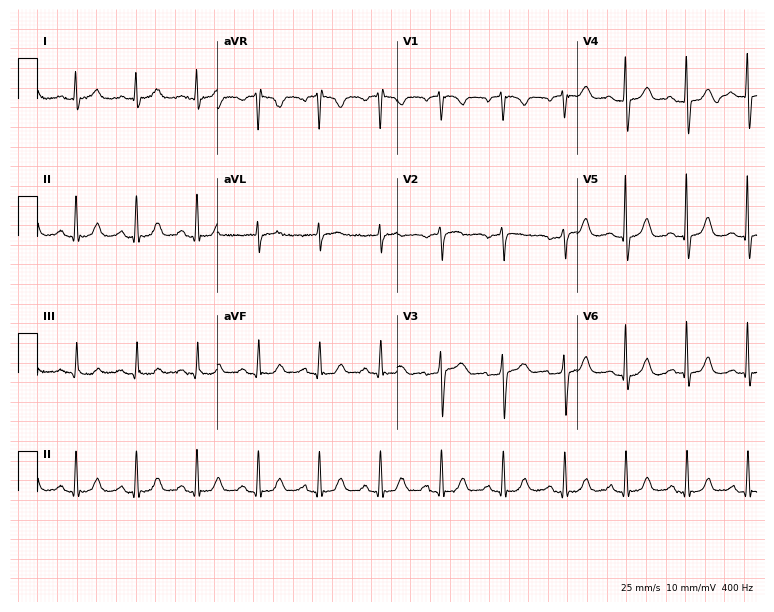
Resting 12-lead electrocardiogram. Patient: a woman, 72 years old. Read as a normal ECG.